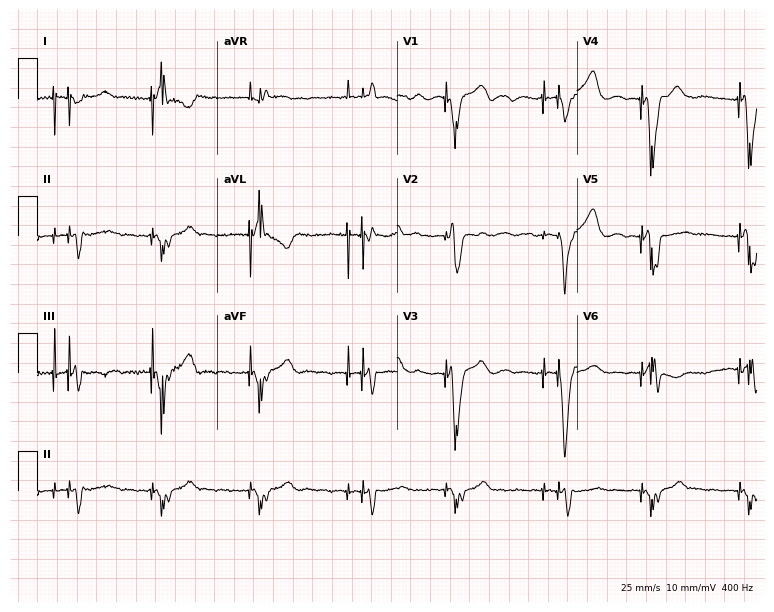
12-lead ECG (7.3-second recording at 400 Hz) from a female patient, 79 years old. Screened for six findings — first-degree AV block, right bundle branch block (RBBB), left bundle branch block (LBBB), sinus bradycardia, atrial fibrillation (AF), sinus tachycardia — none is recorded. Only these six findings were labelled.